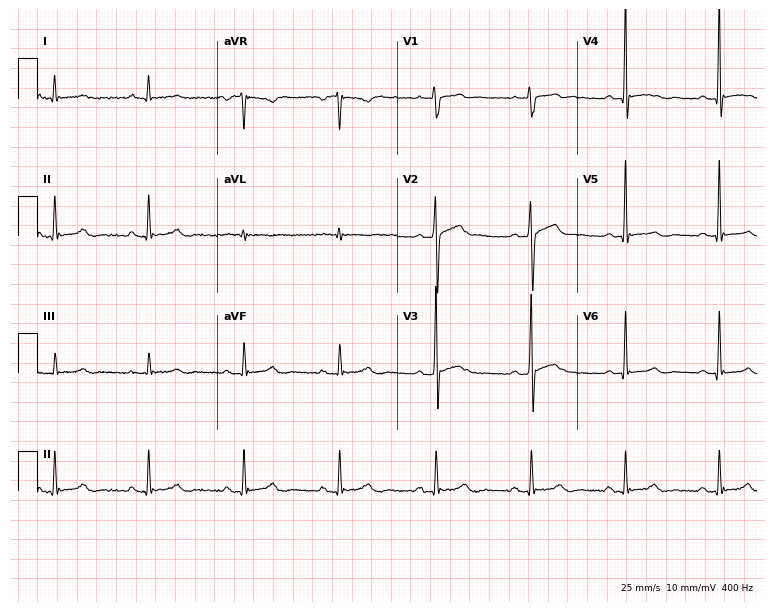
12-lead ECG from a male, 63 years old. Screened for six findings — first-degree AV block, right bundle branch block, left bundle branch block, sinus bradycardia, atrial fibrillation, sinus tachycardia — none is recorded. Other findings, if any, are not listed.